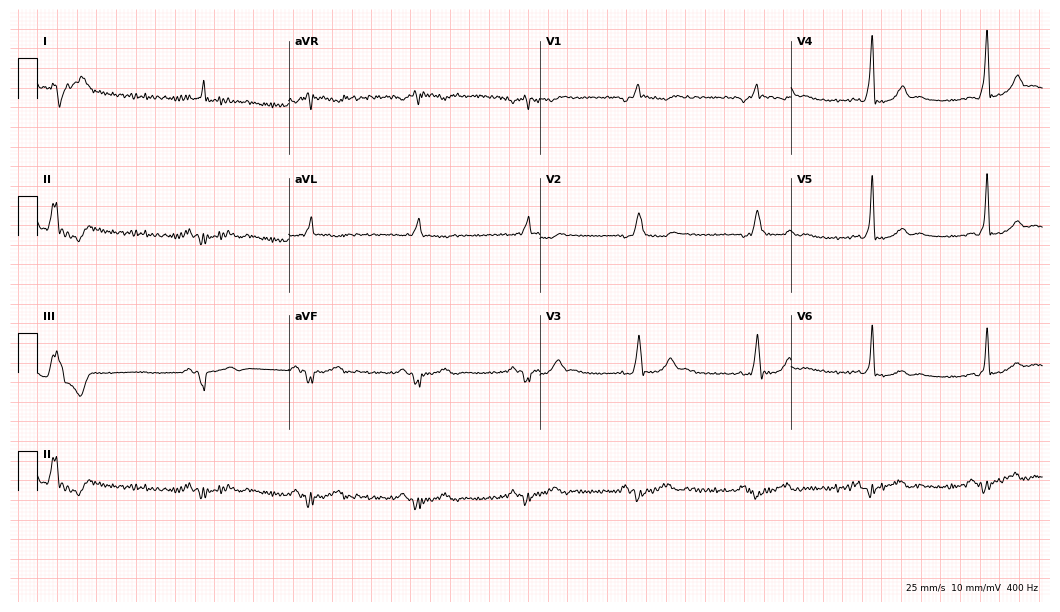
Standard 12-lead ECG recorded from a 64-year-old male patient (10.2-second recording at 400 Hz). None of these six findings is recorded: first-degree AV block, right bundle branch block, left bundle branch block, sinus bradycardia, atrial fibrillation, sinus tachycardia.